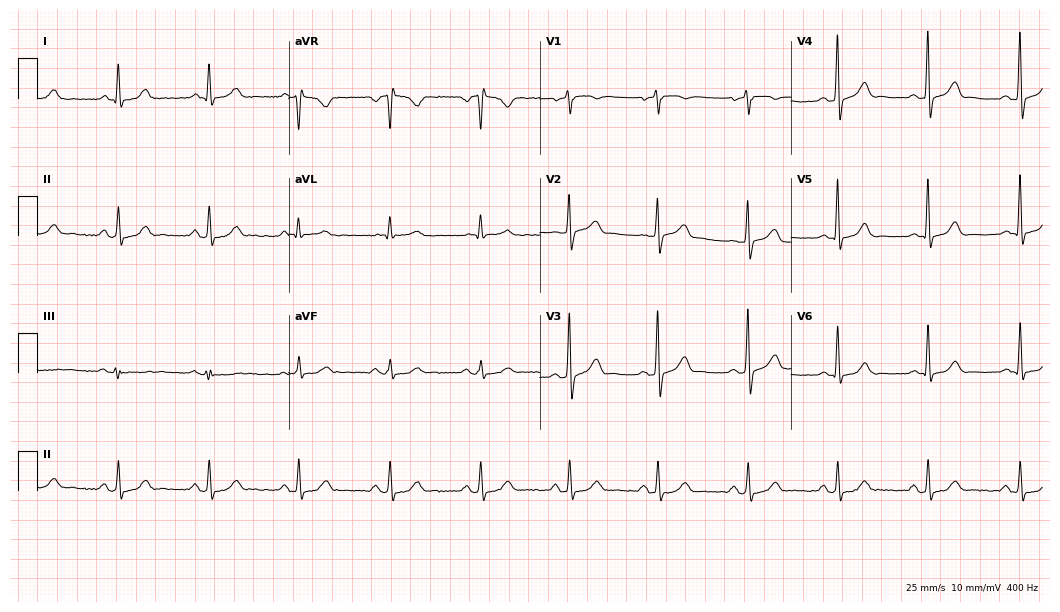
Electrocardiogram, a 57-year-old male patient. Of the six screened findings (first-degree AV block, right bundle branch block (RBBB), left bundle branch block (LBBB), sinus bradycardia, atrial fibrillation (AF), sinus tachycardia), none is recorded.